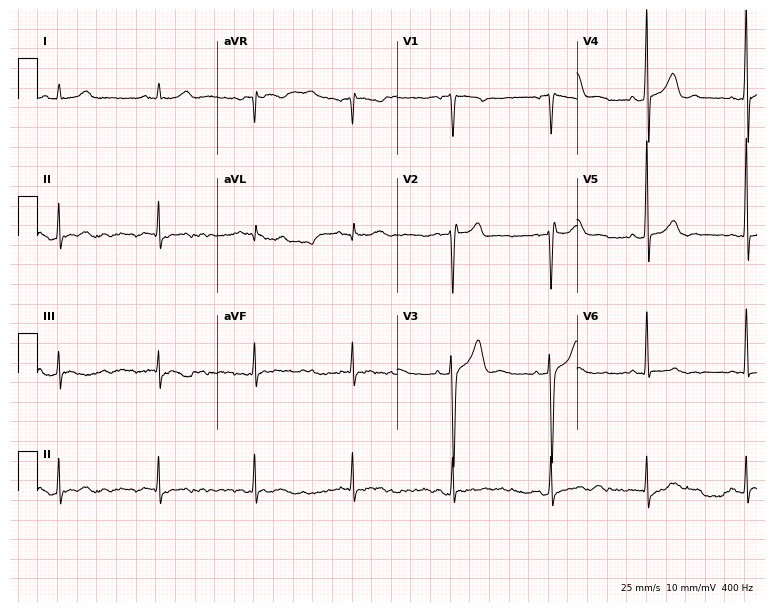
Standard 12-lead ECG recorded from a male patient, 29 years old (7.3-second recording at 400 Hz). Read as a normal ECG.